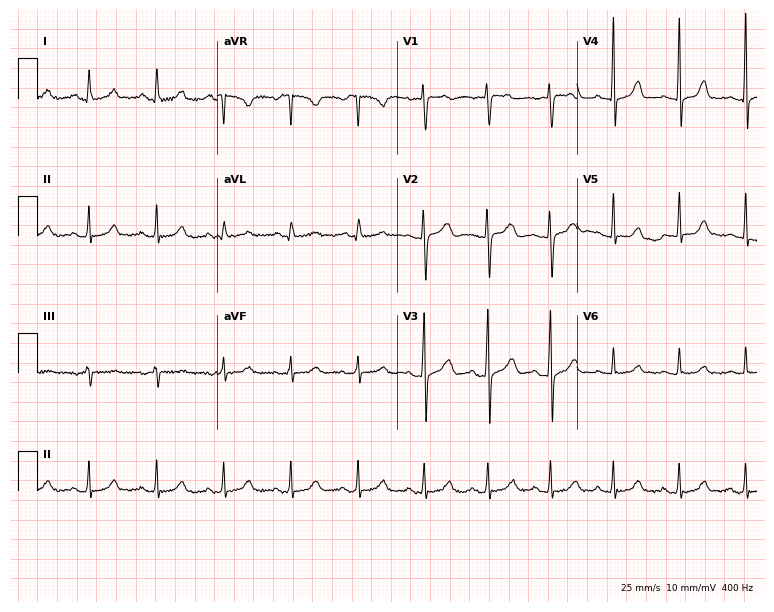
Standard 12-lead ECG recorded from a 37-year-old female (7.3-second recording at 400 Hz). None of these six findings is recorded: first-degree AV block, right bundle branch block, left bundle branch block, sinus bradycardia, atrial fibrillation, sinus tachycardia. Findings outside these six are not listed.